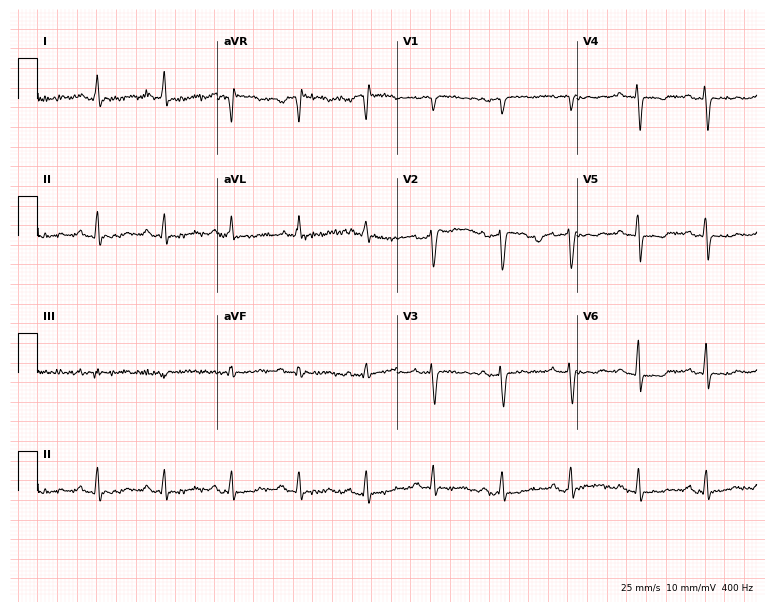
Electrocardiogram, a woman, 49 years old. Of the six screened findings (first-degree AV block, right bundle branch block, left bundle branch block, sinus bradycardia, atrial fibrillation, sinus tachycardia), none is recorded.